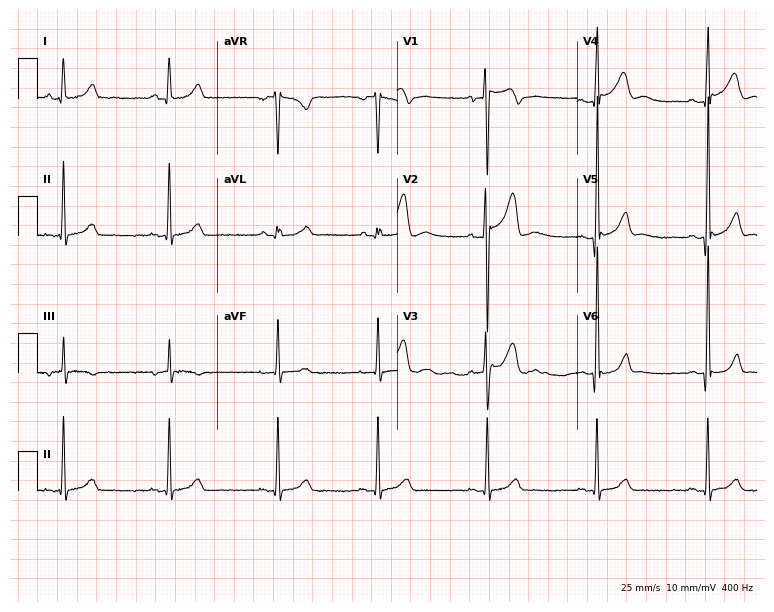
12-lead ECG from a 29-year-old man (7.3-second recording at 400 Hz). Recorded interpretation: within normal limits.